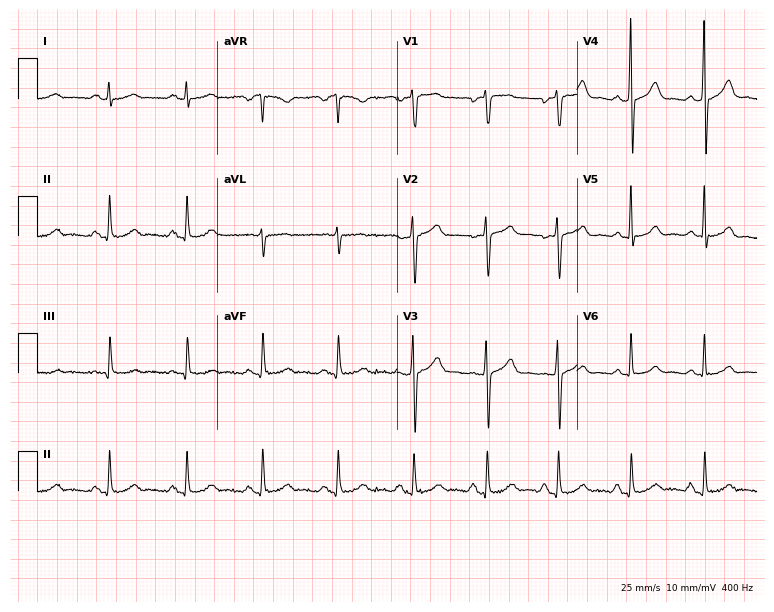
Standard 12-lead ECG recorded from a 63-year-old male. Read as a normal ECG.